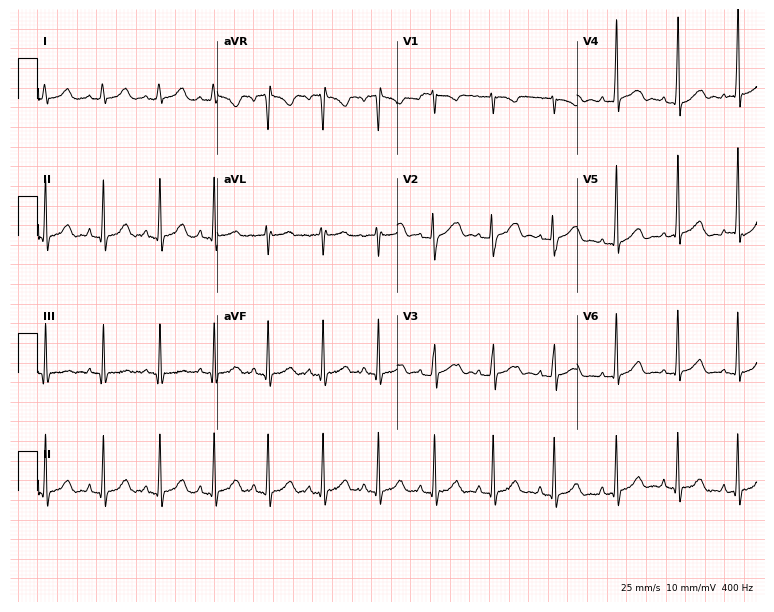
Resting 12-lead electrocardiogram (7.3-second recording at 400 Hz). Patient: a female, 18 years old. The tracing shows sinus tachycardia (a sinus rate of 100 beats per minute or more).